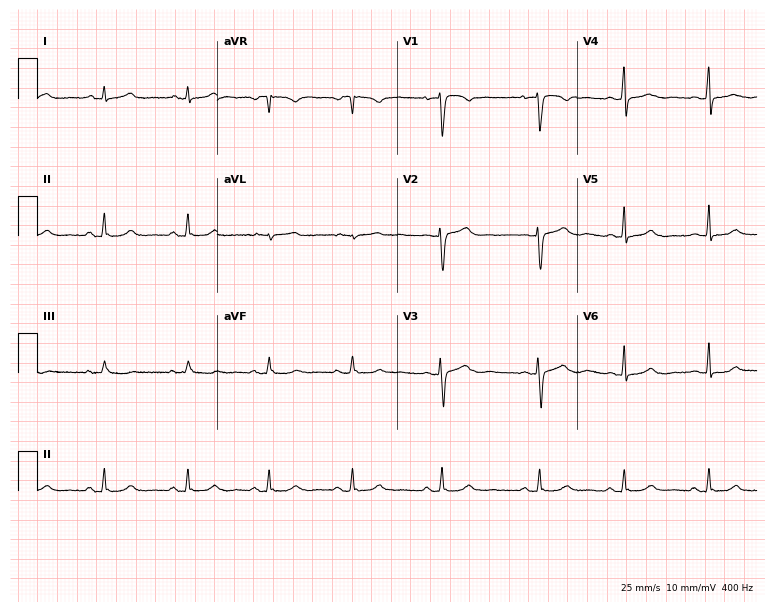
Resting 12-lead electrocardiogram (7.3-second recording at 400 Hz). Patient: a 31-year-old female. Read as a normal ECG.